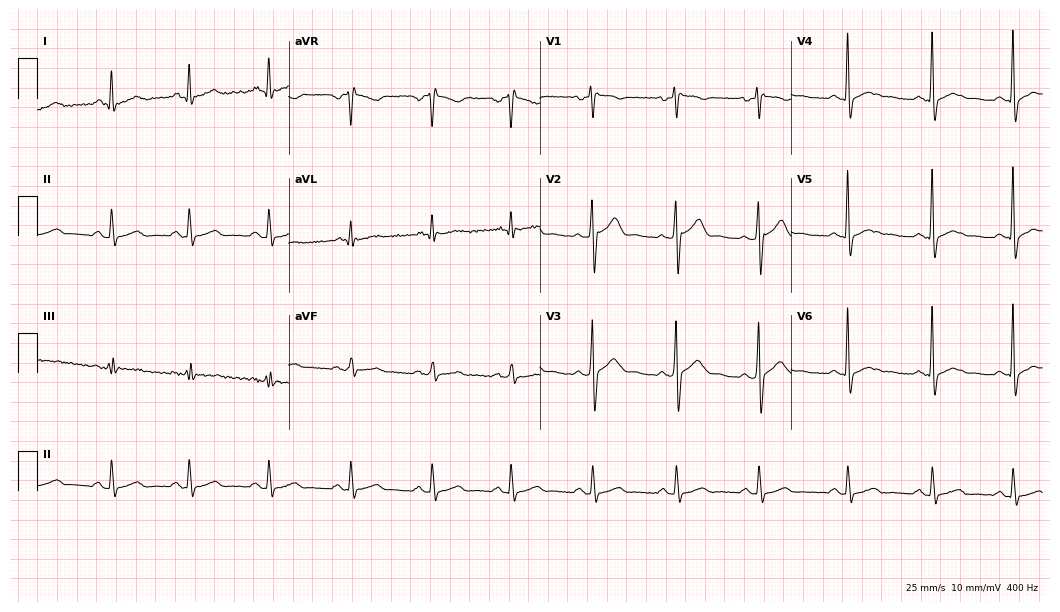
ECG (10.2-second recording at 400 Hz) — a 34-year-old male. Labelled as a normal ECG.